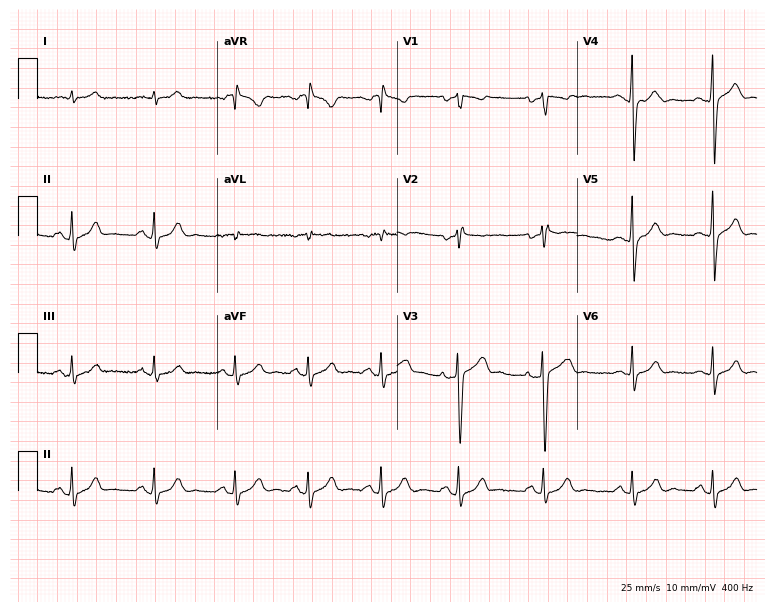
12-lead ECG from a male, 79 years old (7.3-second recording at 400 Hz). No first-degree AV block, right bundle branch block (RBBB), left bundle branch block (LBBB), sinus bradycardia, atrial fibrillation (AF) or sinus tachycardia recorded for this tracing. Other findings, if any, are not listed.